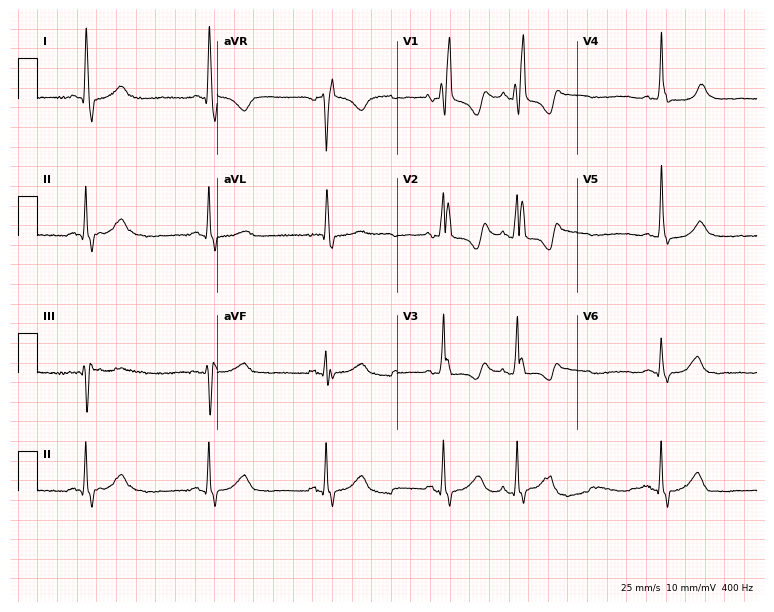
Standard 12-lead ECG recorded from a 66-year-old woman (7.3-second recording at 400 Hz). The tracing shows right bundle branch block.